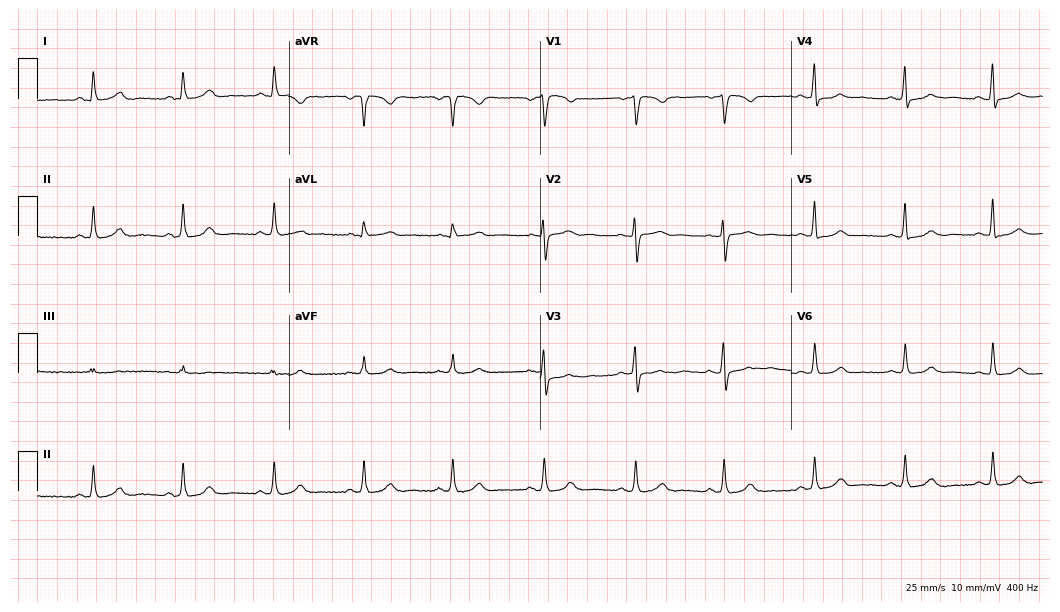
12-lead ECG from a 53-year-old woman. Labelled as a normal ECG.